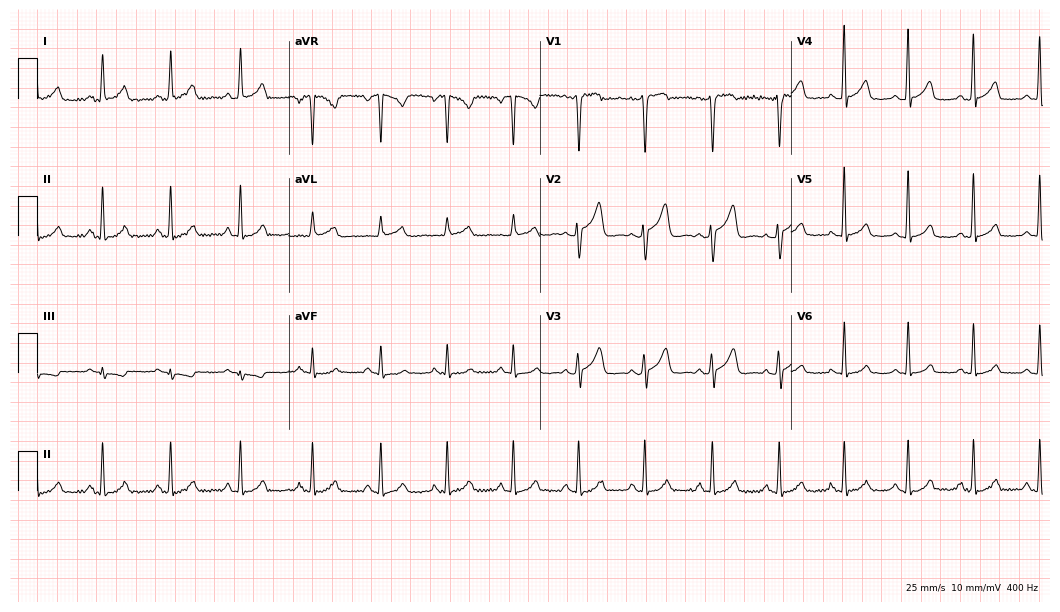
Electrocardiogram, a female patient, 43 years old. Overall reading on record: normal ECG.